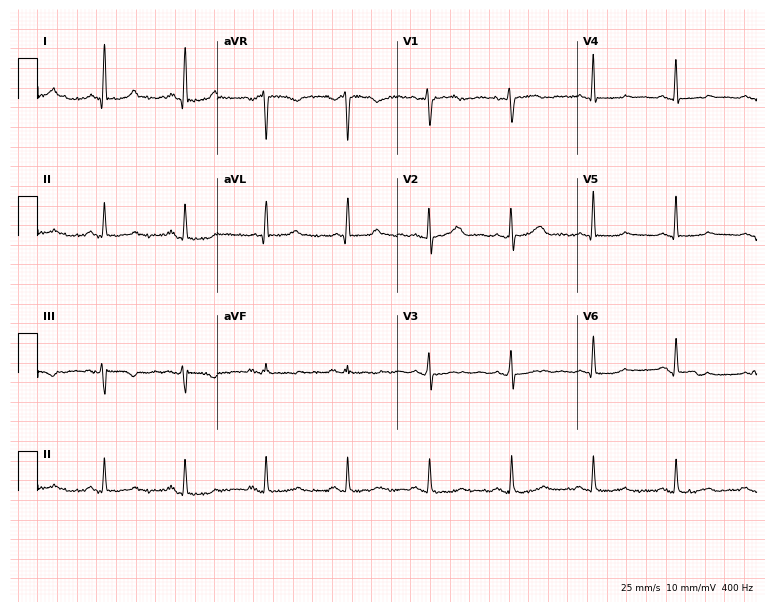
Resting 12-lead electrocardiogram (7.3-second recording at 400 Hz). Patient: a 59-year-old female. None of these six findings is recorded: first-degree AV block, right bundle branch block, left bundle branch block, sinus bradycardia, atrial fibrillation, sinus tachycardia.